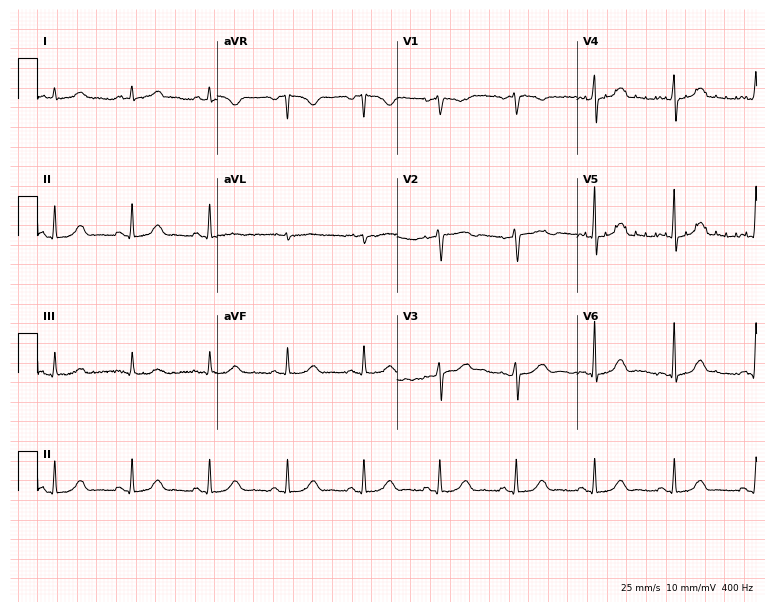
ECG (7.3-second recording at 400 Hz) — a 54-year-old woman. Labelled as a normal ECG.